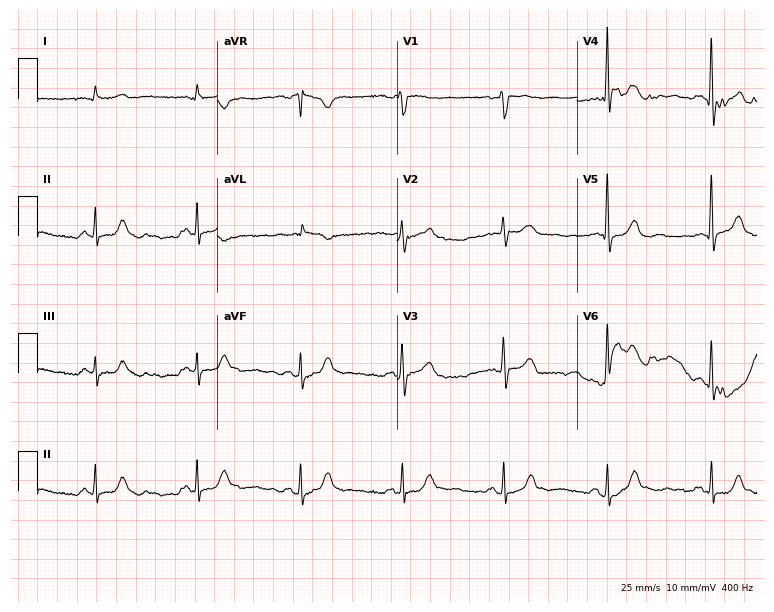
Standard 12-lead ECG recorded from a male, 76 years old (7.3-second recording at 400 Hz). None of these six findings is recorded: first-degree AV block, right bundle branch block (RBBB), left bundle branch block (LBBB), sinus bradycardia, atrial fibrillation (AF), sinus tachycardia. Only these six findings were labelled.